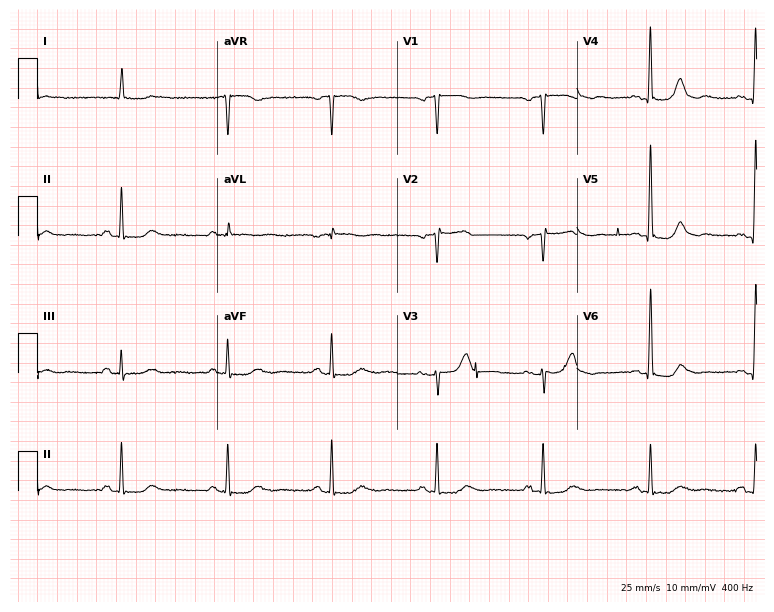
12-lead ECG from a female patient, 80 years old (7.3-second recording at 400 Hz). No first-degree AV block, right bundle branch block, left bundle branch block, sinus bradycardia, atrial fibrillation or sinus tachycardia recorded for this tracing. Findings outside these six are not listed.